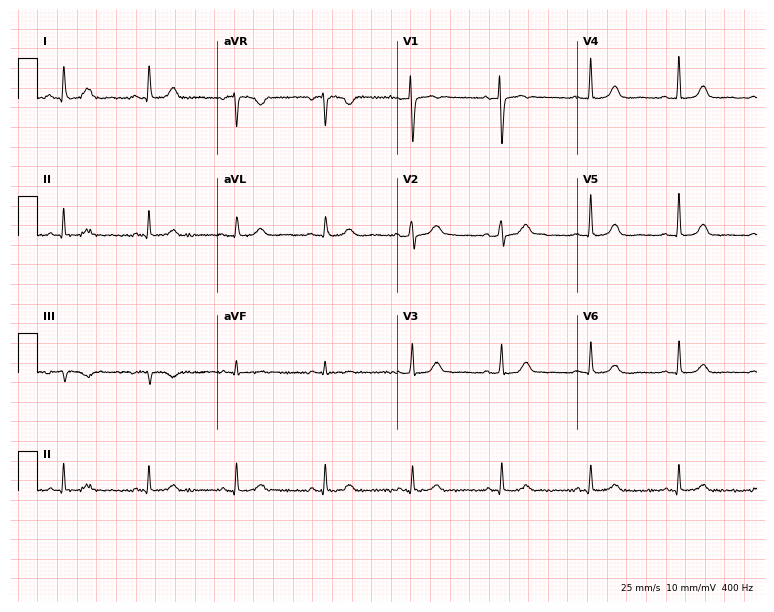
ECG — an 81-year-old woman. Labelled as a normal ECG.